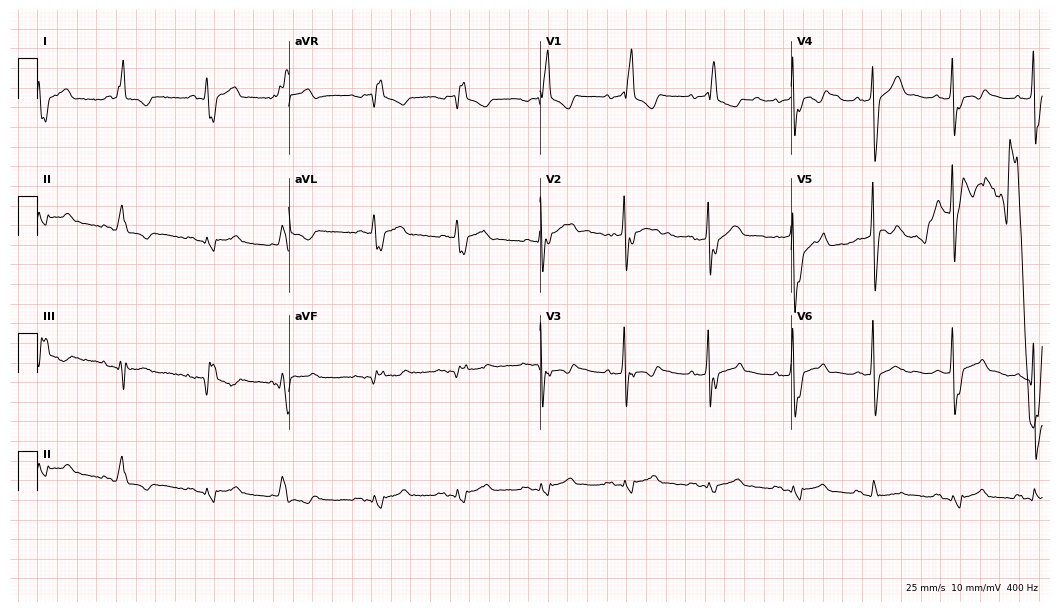
Resting 12-lead electrocardiogram (10.2-second recording at 400 Hz). Patient: a 67-year-old man. None of these six findings is recorded: first-degree AV block, right bundle branch block, left bundle branch block, sinus bradycardia, atrial fibrillation, sinus tachycardia.